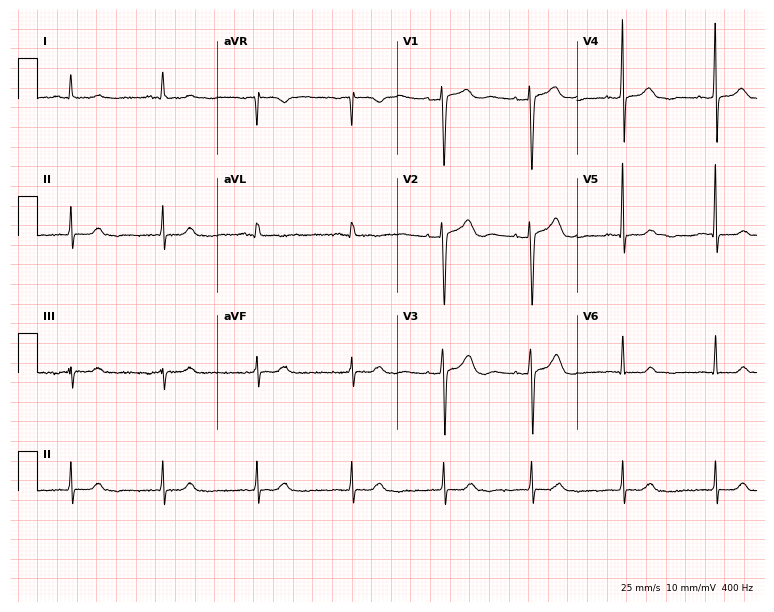
ECG — a 44-year-old female patient. Screened for six findings — first-degree AV block, right bundle branch block, left bundle branch block, sinus bradycardia, atrial fibrillation, sinus tachycardia — none is recorded.